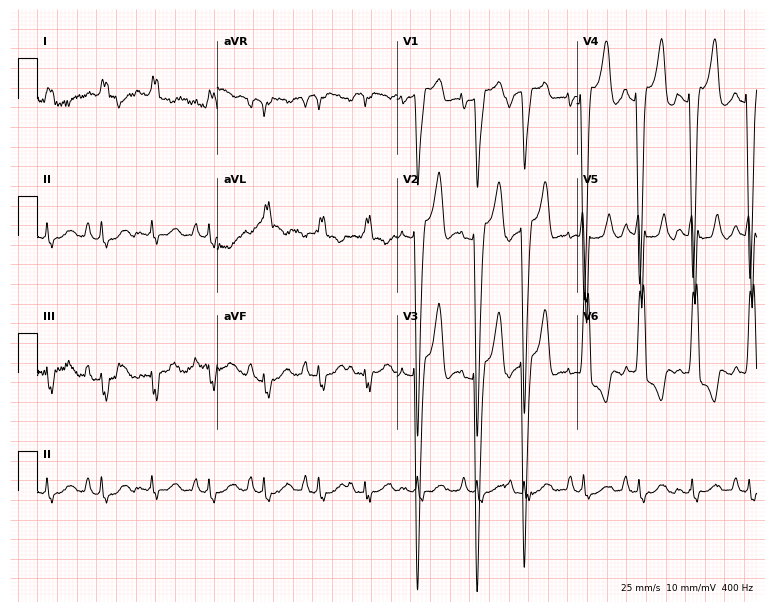
Standard 12-lead ECG recorded from an 84-year-old female. The tracing shows left bundle branch block, sinus tachycardia (a sinus rate of 100 beats per minute or more).